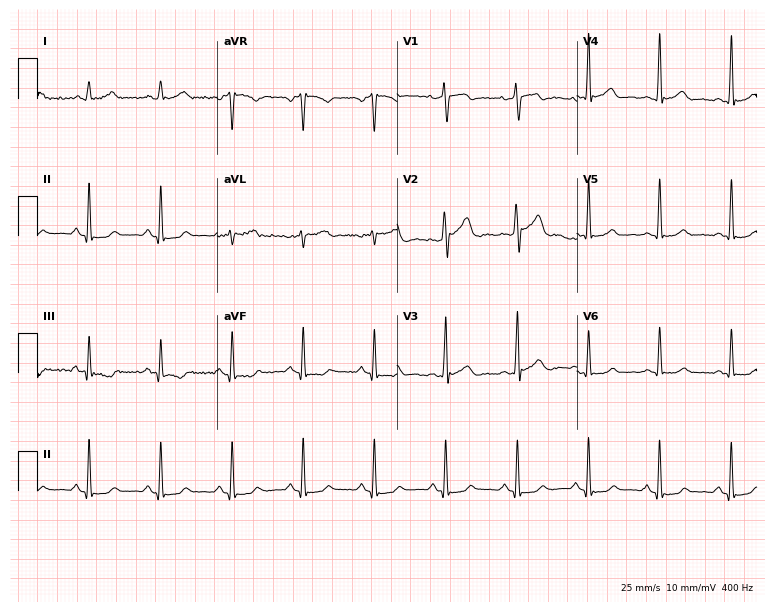
12-lead ECG from a male, 54 years old (7.3-second recording at 400 Hz). No first-degree AV block, right bundle branch block, left bundle branch block, sinus bradycardia, atrial fibrillation or sinus tachycardia recorded for this tracing.